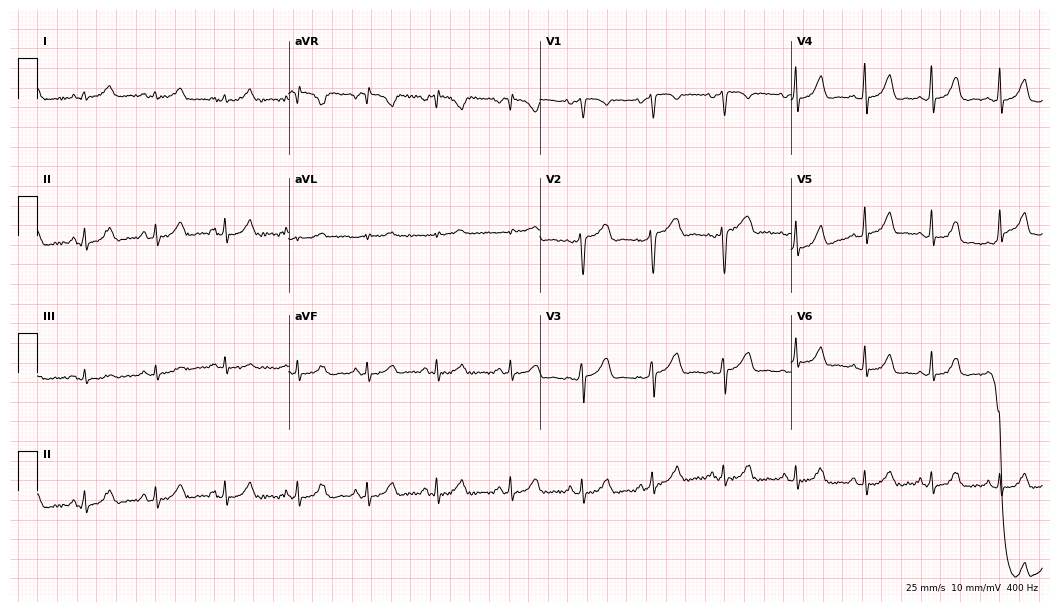
12-lead ECG from a female patient, 40 years old. No first-degree AV block, right bundle branch block, left bundle branch block, sinus bradycardia, atrial fibrillation or sinus tachycardia recorded for this tracing. Other findings, if any, are not listed.